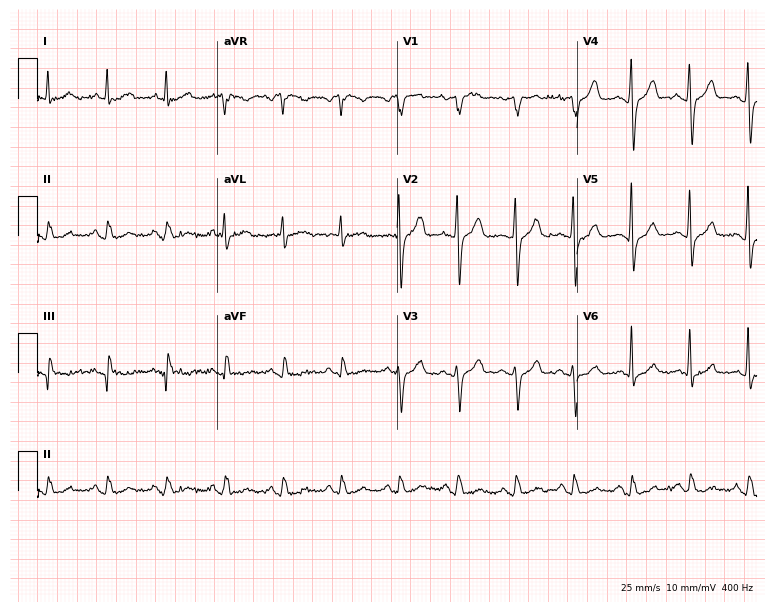
Resting 12-lead electrocardiogram (7.3-second recording at 400 Hz). Patient: a man, 70 years old. Read as a normal ECG.